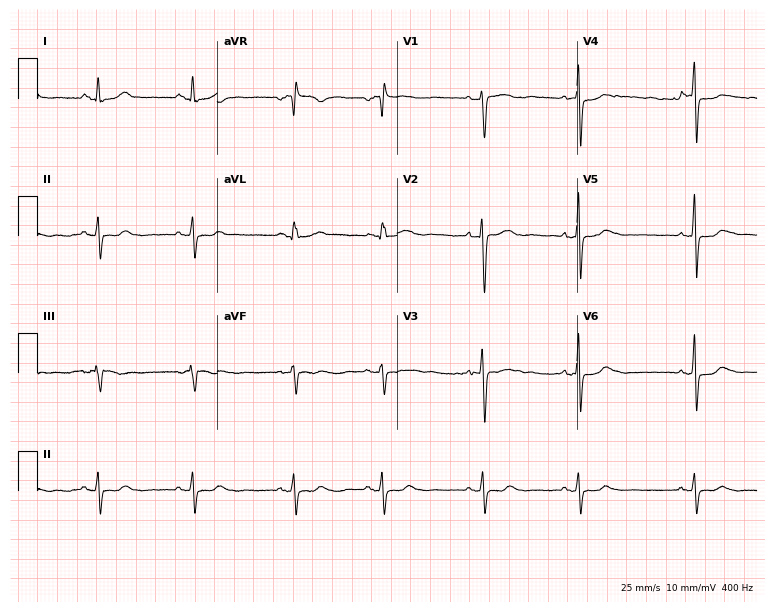
ECG (7.3-second recording at 400 Hz) — a 24-year-old female. Screened for six findings — first-degree AV block, right bundle branch block, left bundle branch block, sinus bradycardia, atrial fibrillation, sinus tachycardia — none is recorded. Only these six findings were labelled.